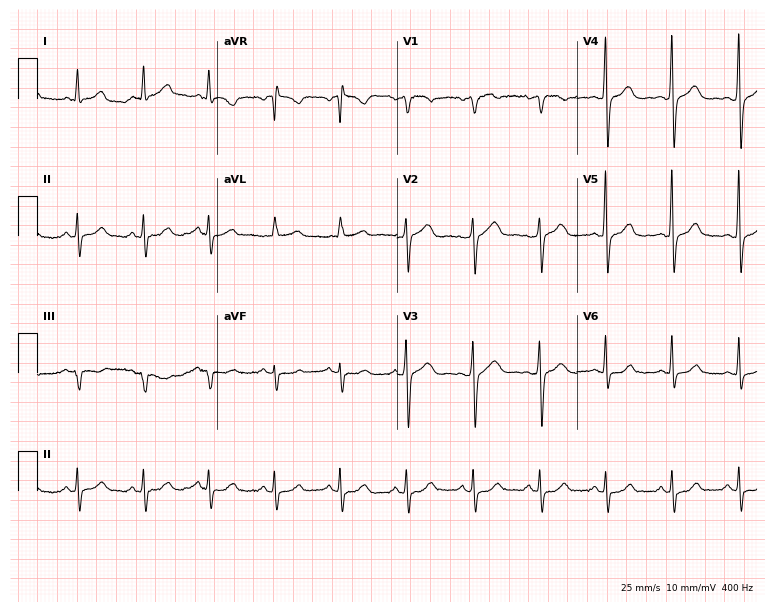
12-lead ECG (7.3-second recording at 400 Hz) from a 57-year-old female. Screened for six findings — first-degree AV block, right bundle branch block, left bundle branch block, sinus bradycardia, atrial fibrillation, sinus tachycardia — none is recorded.